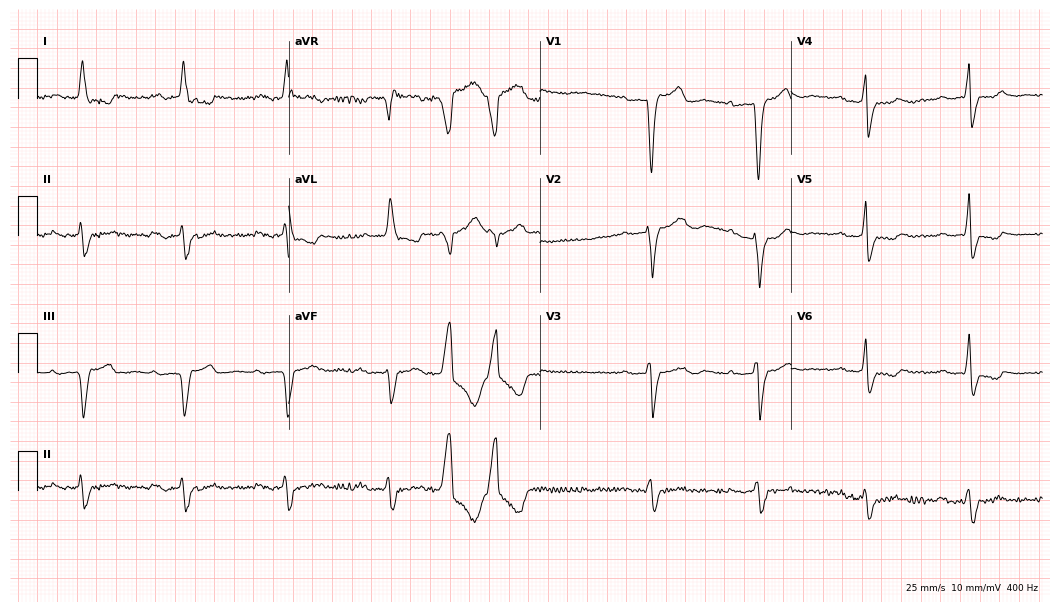
12-lead ECG (10.2-second recording at 400 Hz) from an 84-year-old woman. Findings include first-degree AV block.